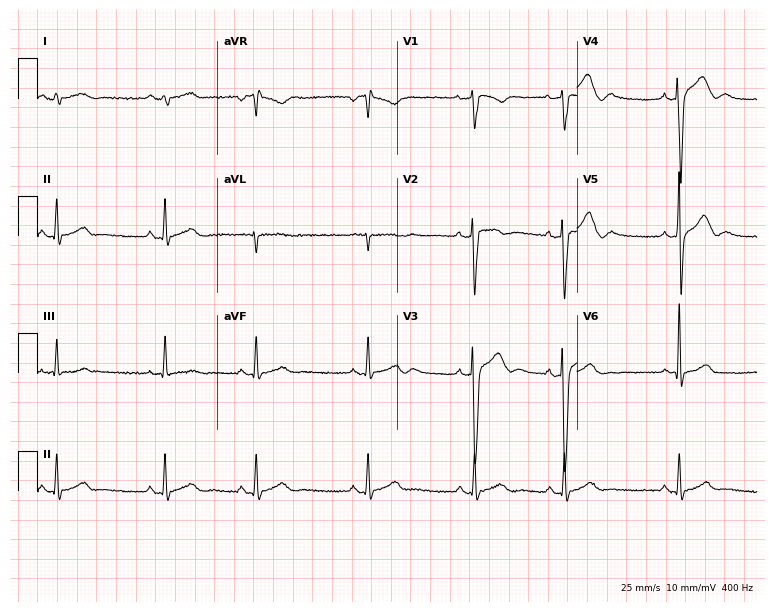
12-lead ECG (7.3-second recording at 400 Hz) from a male, 22 years old. Labelled as a normal ECG.